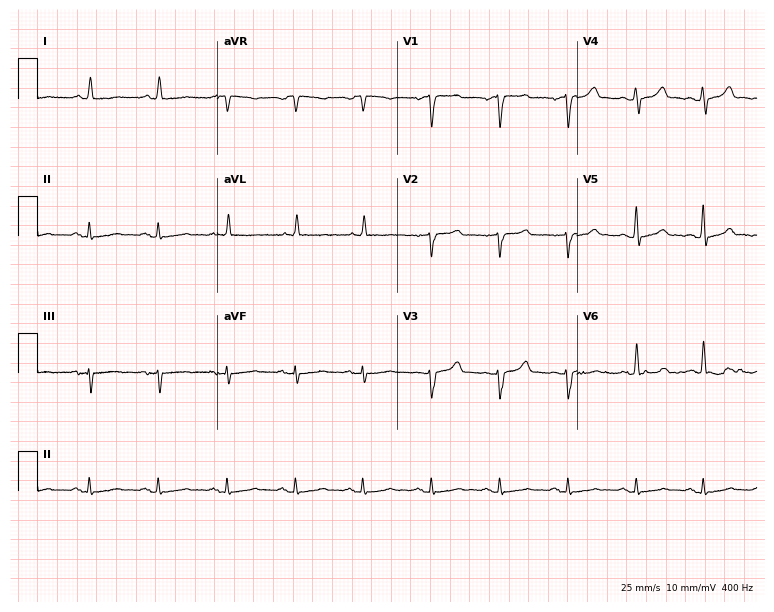
Resting 12-lead electrocardiogram (7.3-second recording at 400 Hz). Patient: a man, 81 years old. None of these six findings is recorded: first-degree AV block, right bundle branch block, left bundle branch block, sinus bradycardia, atrial fibrillation, sinus tachycardia. Only these six findings were labelled.